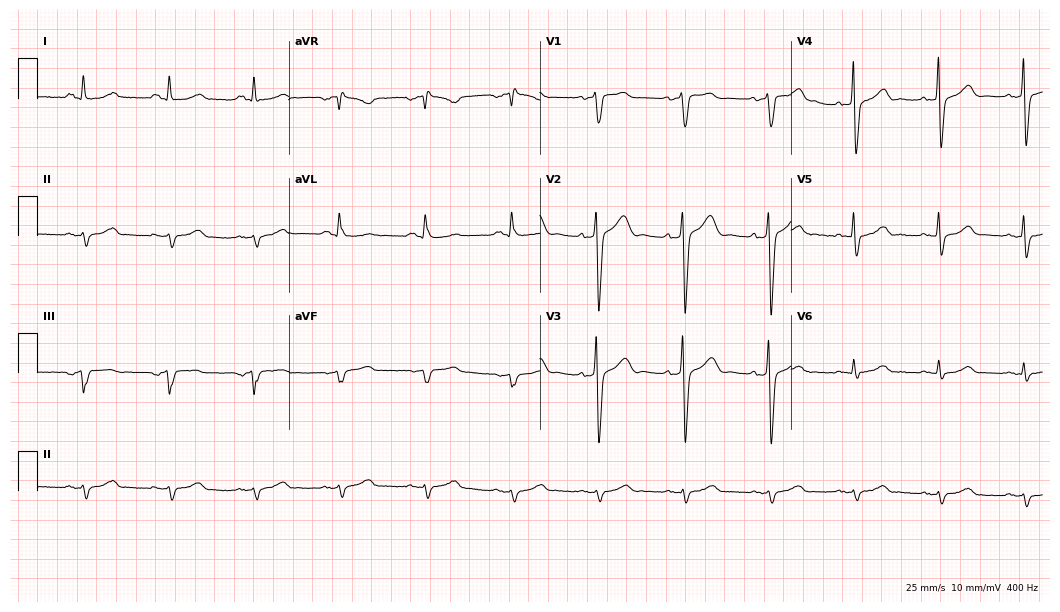
12-lead ECG from a 75-year-old male. No first-degree AV block, right bundle branch block, left bundle branch block, sinus bradycardia, atrial fibrillation or sinus tachycardia recorded for this tracing.